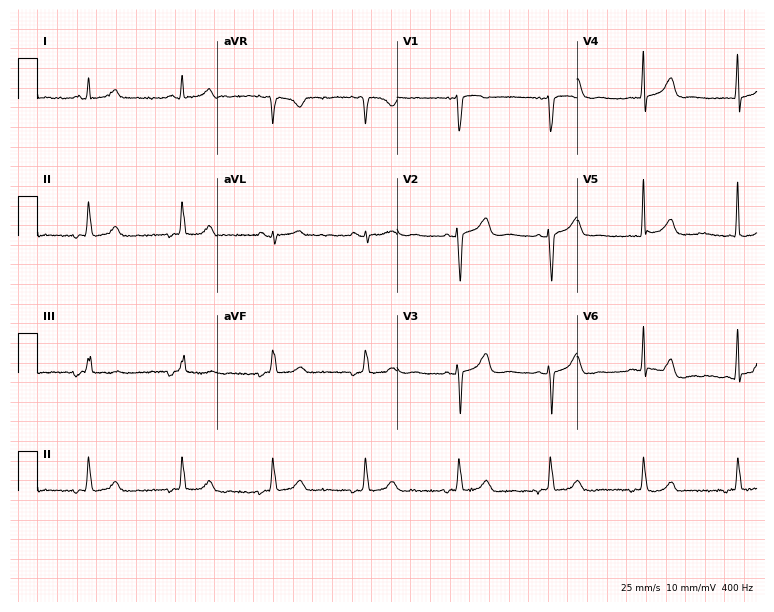
ECG (7.3-second recording at 400 Hz) — a woman, 66 years old. Labelled as a normal ECG.